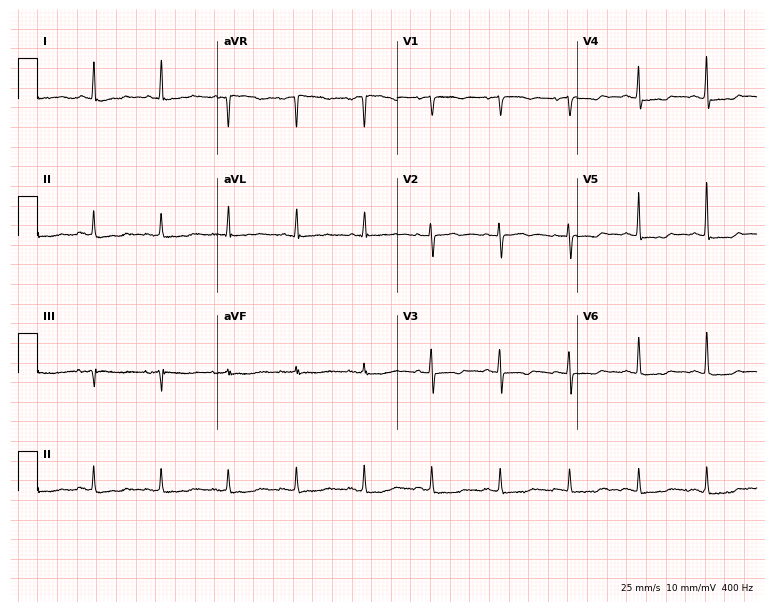
12-lead ECG from a 71-year-old female patient. Screened for six findings — first-degree AV block, right bundle branch block, left bundle branch block, sinus bradycardia, atrial fibrillation, sinus tachycardia — none is recorded. Other findings, if any, are not listed.